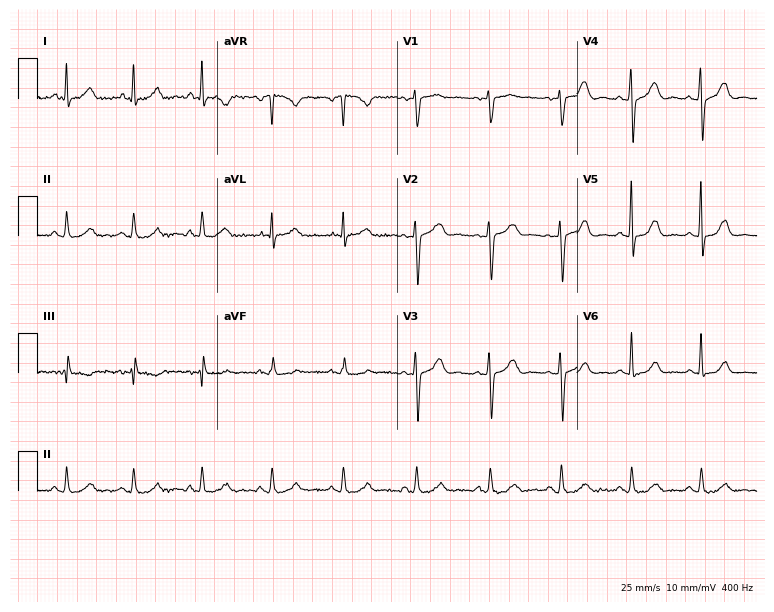
Resting 12-lead electrocardiogram (7.3-second recording at 400 Hz). Patient: a female, 53 years old. Read as a normal ECG.